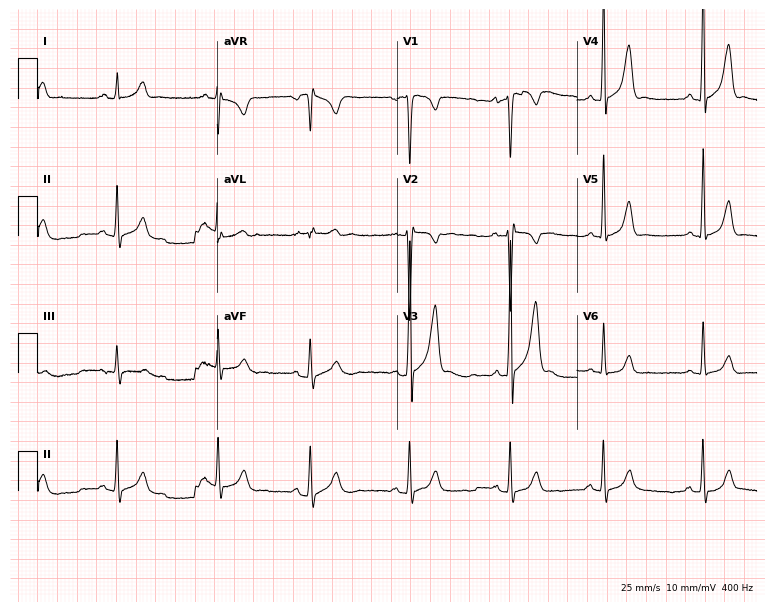
Standard 12-lead ECG recorded from a male patient, 18 years old. None of these six findings is recorded: first-degree AV block, right bundle branch block (RBBB), left bundle branch block (LBBB), sinus bradycardia, atrial fibrillation (AF), sinus tachycardia.